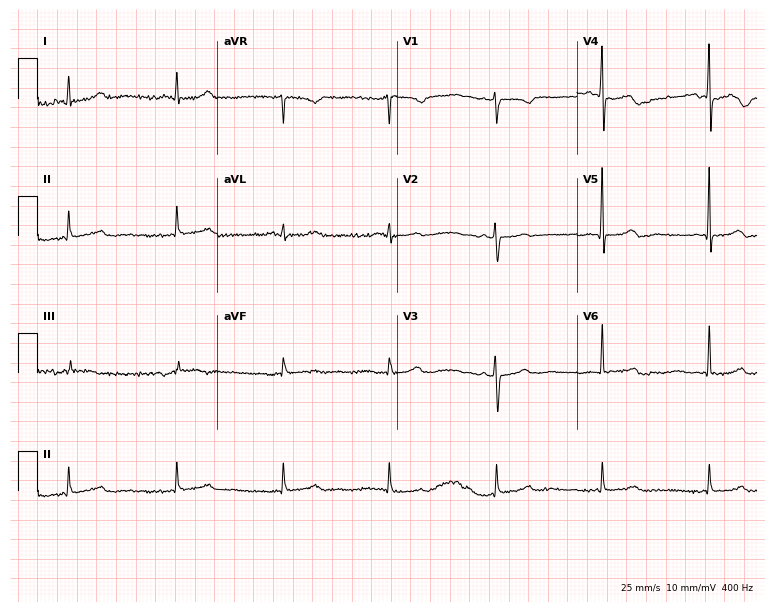
12-lead ECG from a woman, 78 years old (7.3-second recording at 400 Hz). No first-degree AV block, right bundle branch block, left bundle branch block, sinus bradycardia, atrial fibrillation or sinus tachycardia recorded for this tracing.